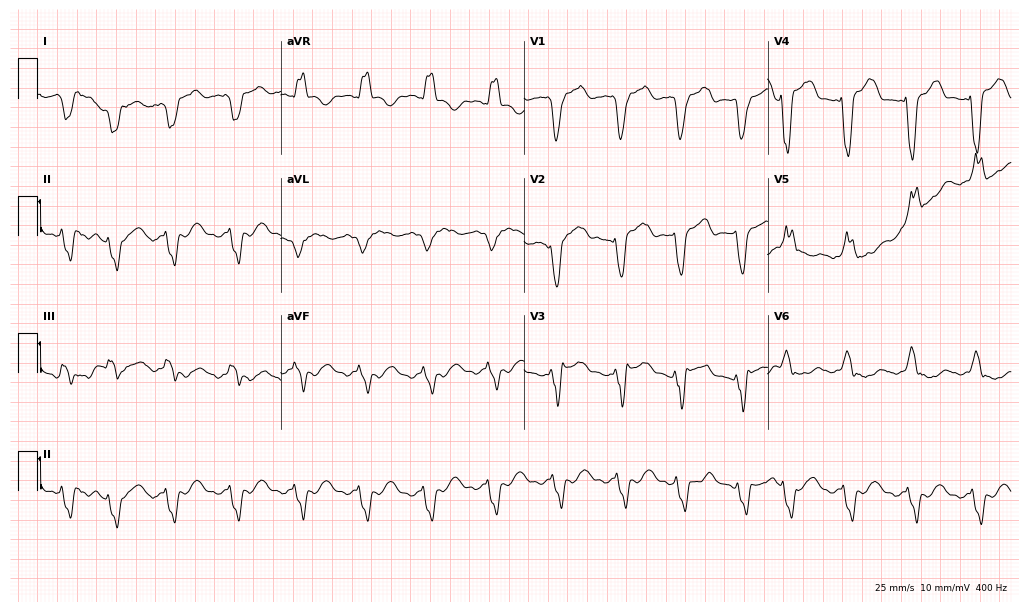
Standard 12-lead ECG recorded from a man, 80 years old (9.9-second recording at 400 Hz). The tracing shows atrial fibrillation (AF).